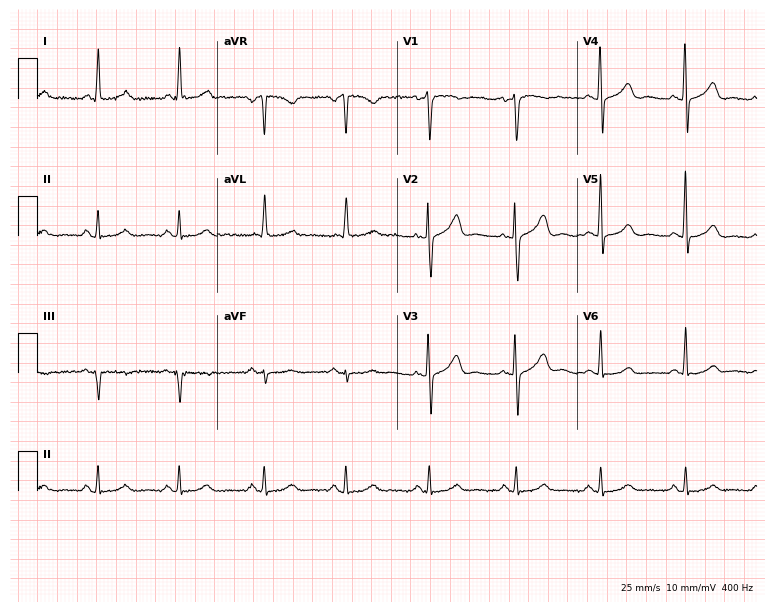
Electrocardiogram, a woman, 44 years old. Overall reading on record: normal ECG.